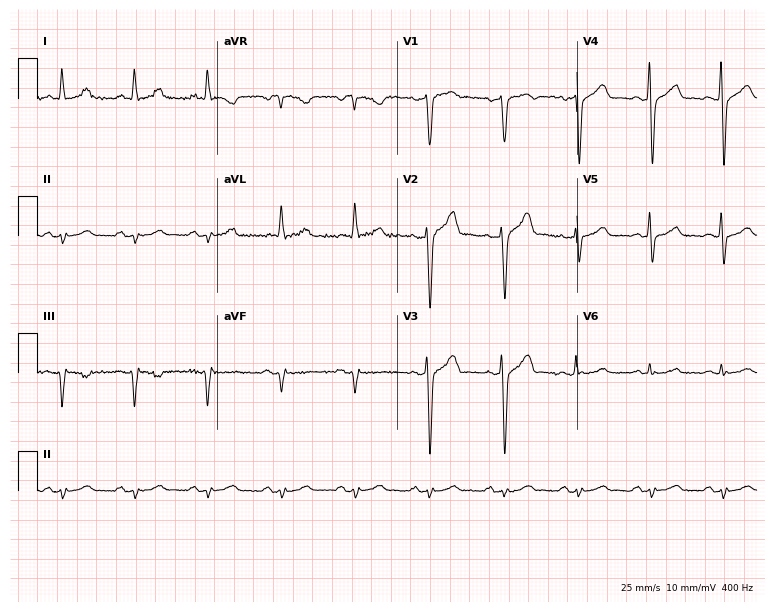
Resting 12-lead electrocardiogram (7.3-second recording at 400 Hz). Patient: a 61-year-old man. None of these six findings is recorded: first-degree AV block, right bundle branch block, left bundle branch block, sinus bradycardia, atrial fibrillation, sinus tachycardia.